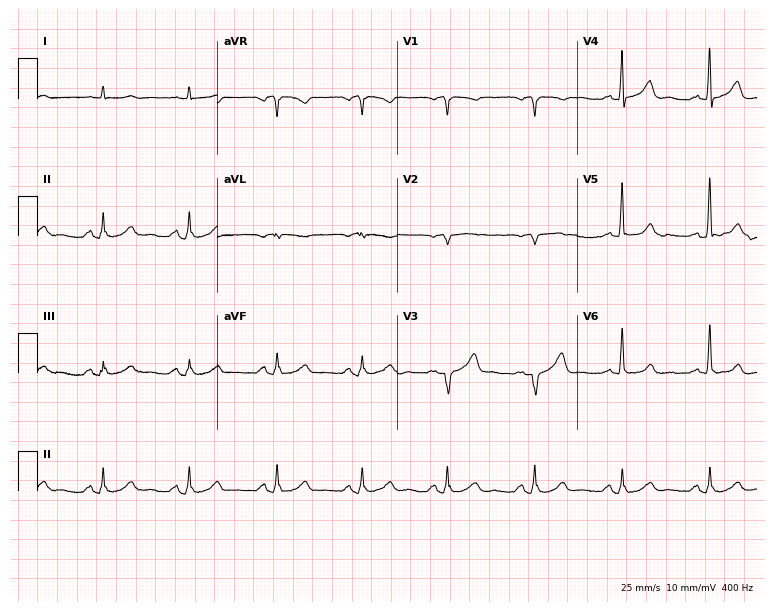
ECG (7.3-second recording at 400 Hz) — a male patient, 61 years old. Screened for six findings — first-degree AV block, right bundle branch block, left bundle branch block, sinus bradycardia, atrial fibrillation, sinus tachycardia — none is recorded. Other findings, if any, are not listed.